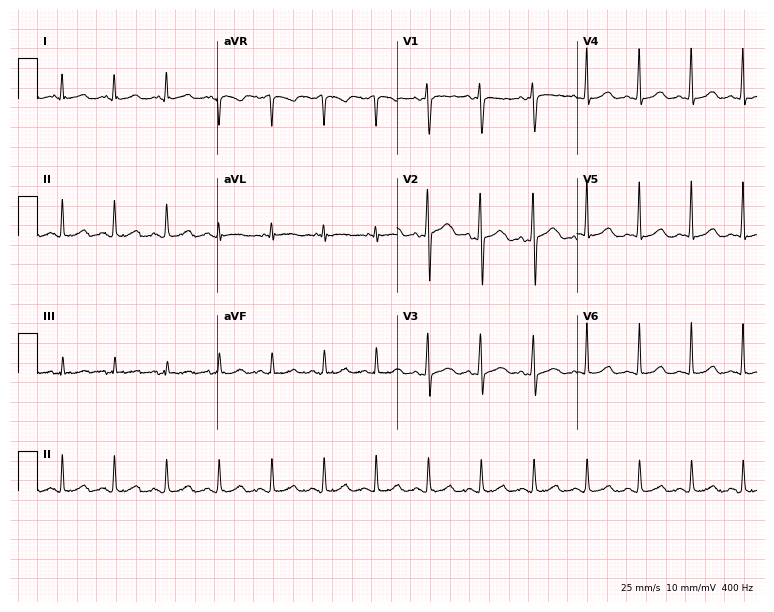
Standard 12-lead ECG recorded from a 31-year-old female patient (7.3-second recording at 400 Hz). The tracing shows sinus tachycardia (a sinus rate of 100 beats per minute or more).